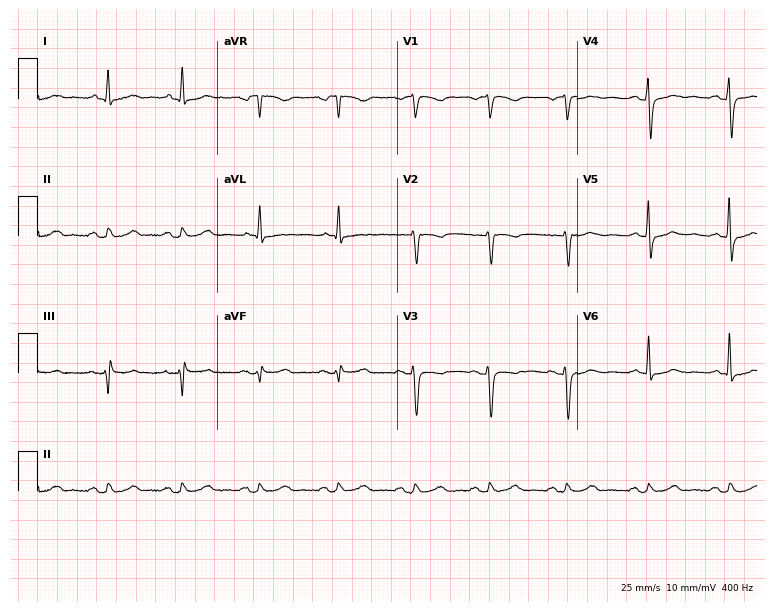
12-lead ECG from a female patient, 62 years old. Screened for six findings — first-degree AV block, right bundle branch block, left bundle branch block, sinus bradycardia, atrial fibrillation, sinus tachycardia — none is recorded. Only these six findings were labelled.